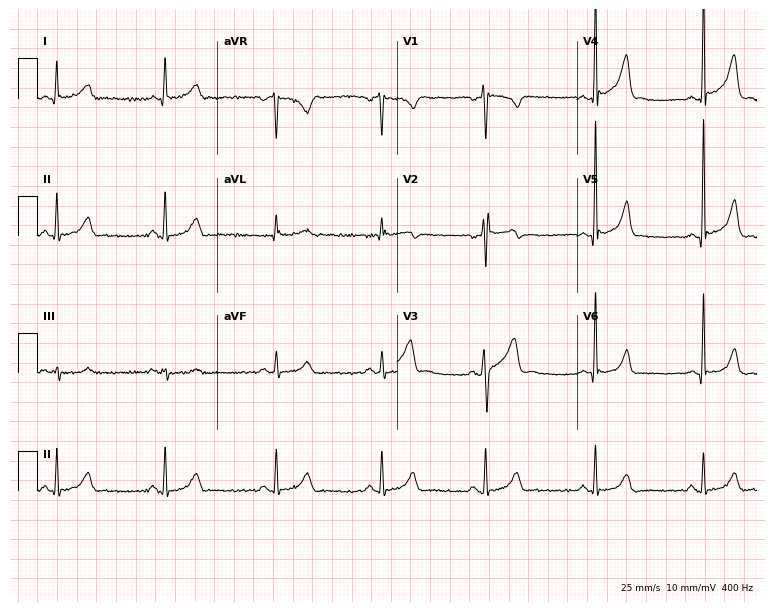
Electrocardiogram, a 38-year-old male patient. Overall reading on record: normal ECG.